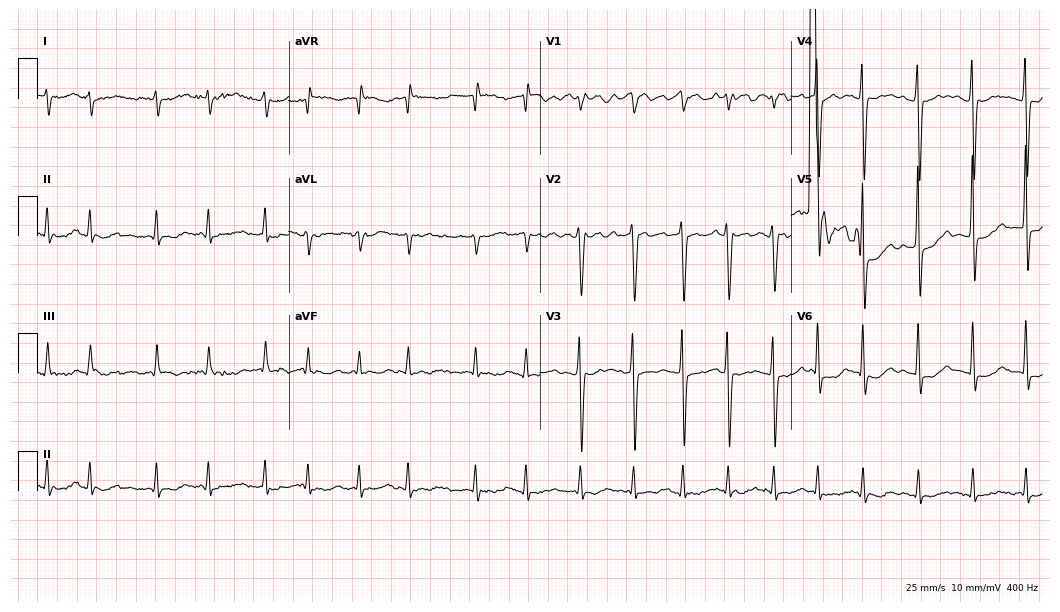
Resting 12-lead electrocardiogram. Patient: a female, 83 years old. The tracing shows atrial fibrillation (AF).